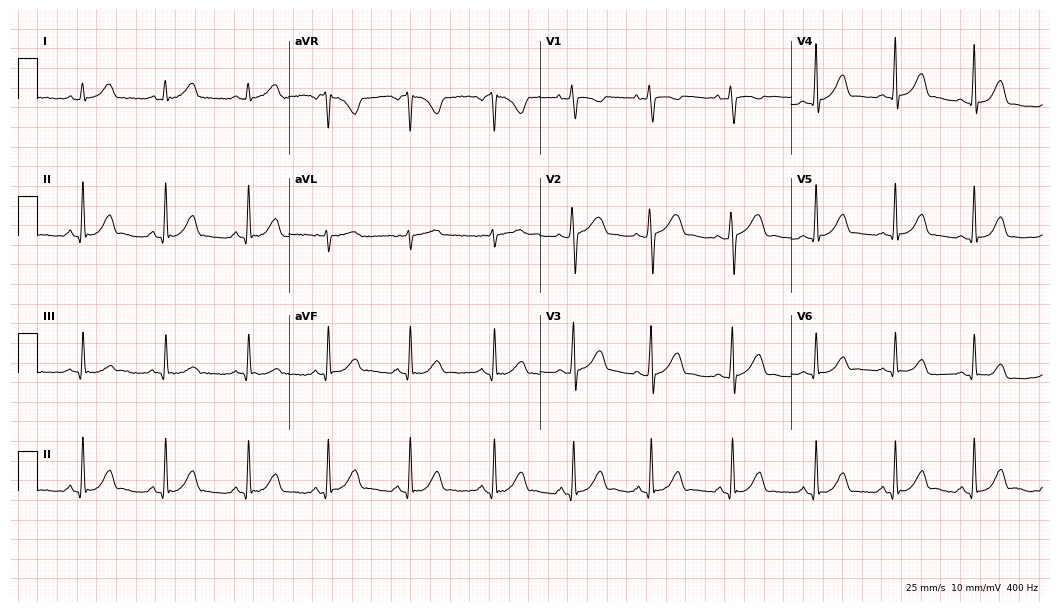
ECG — a 24-year-old female. Labelled as a normal ECG.